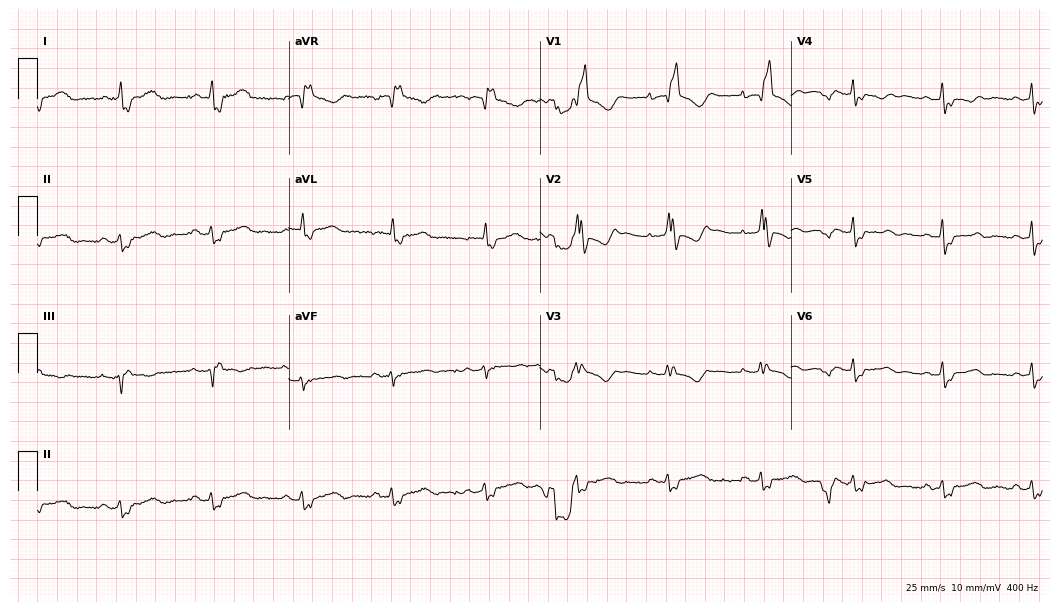
12-lead ECG from a female, 52 years old (10.2-second recording at 400 Hz). Shows right bundle branch block.